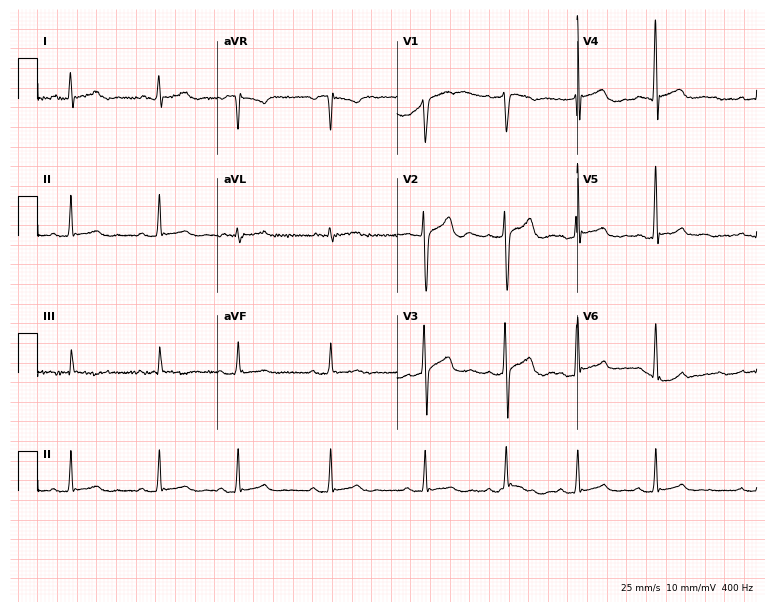
Standard 12-lead ECG recorded from a 42-year-old male. Read as a normal ECG.